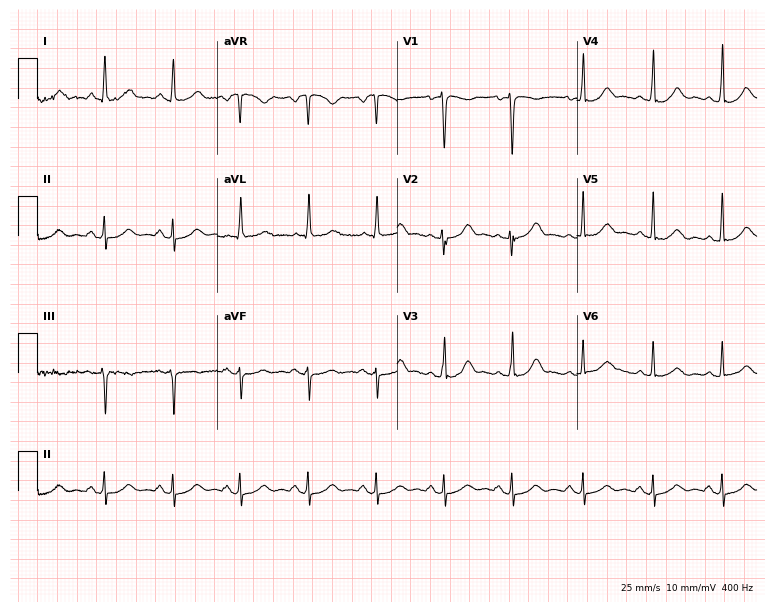
Standard 12-lead ECG recorded from a female, 45 years old (7.3-second recording at 400 Hz). None of these six findings is recorded: first-degree AV block, right bundle branch block (RBBB), left bundle branch block (LBBB), sinus bradycardia, atrial fibrillation (AF), sinus tachycardia. Other findings, if any, are not listed.